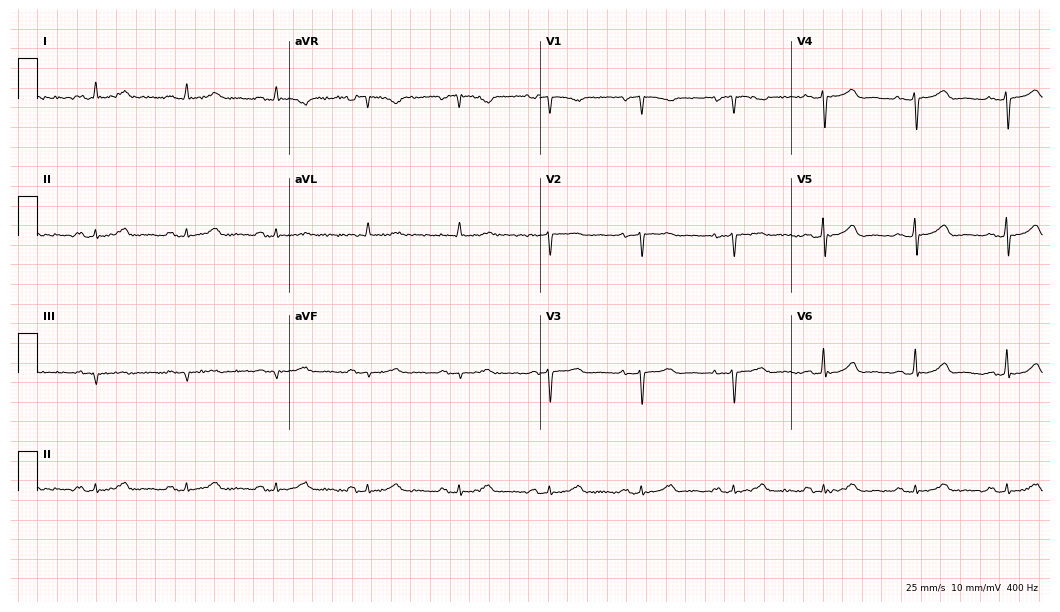
12-lead ECG (10.2-second recording at 400 Hz) from a 49-year-old woman. Labelled as a normal ECG.